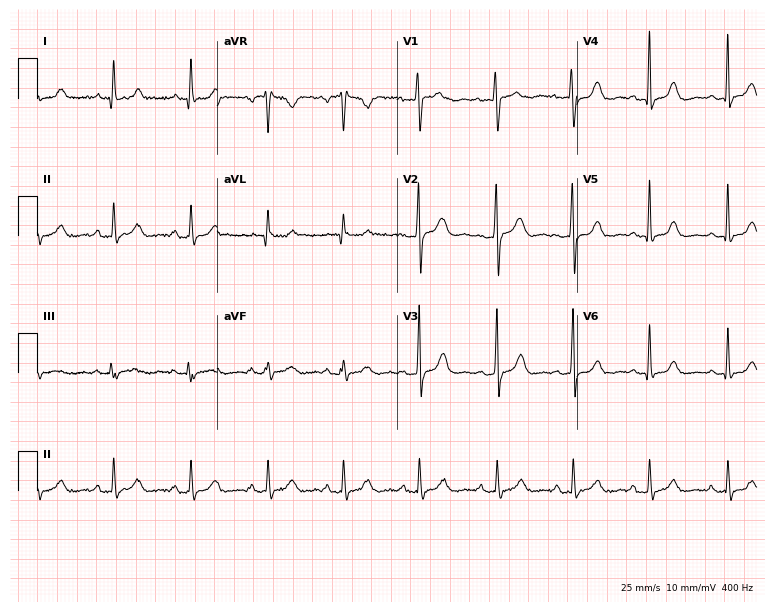
12-lead ECG from a female patient, 41 years old (7.3-second recording at 400 Hz). Recorded interpretation: within normal limits.